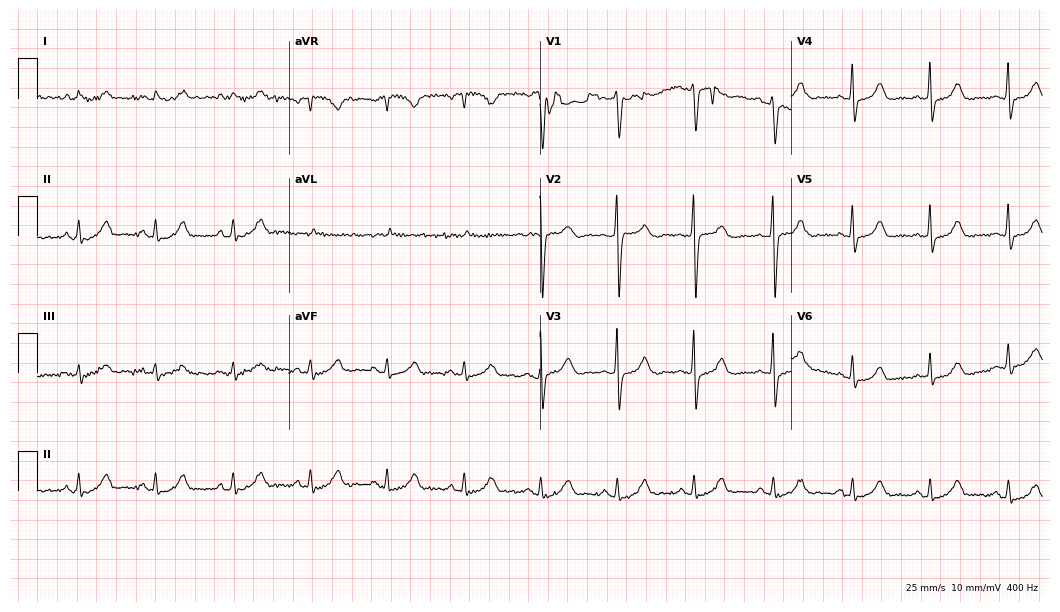
Electrocardiogram, a 55-year-old female patient. Overall reading on record: normal ECG.